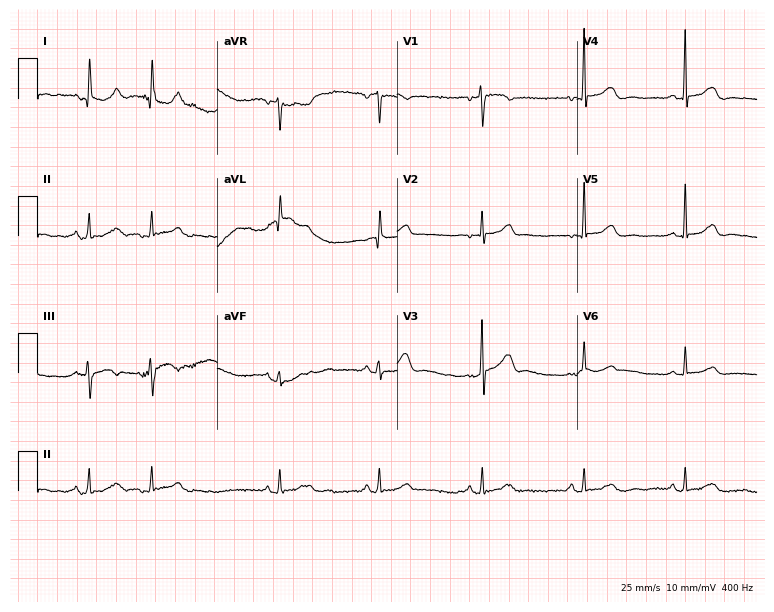
Standard 12-lead ECG recorded from a female, 56 years old (7.3-second recording at 400 Hz). None of these six findings is recorded: first-degree AV block, right bundle branch block (RBBB), left bundle branch block (LBBB), sinus bradycardia, atrial fibrillation (AF), sinus tachycardia.